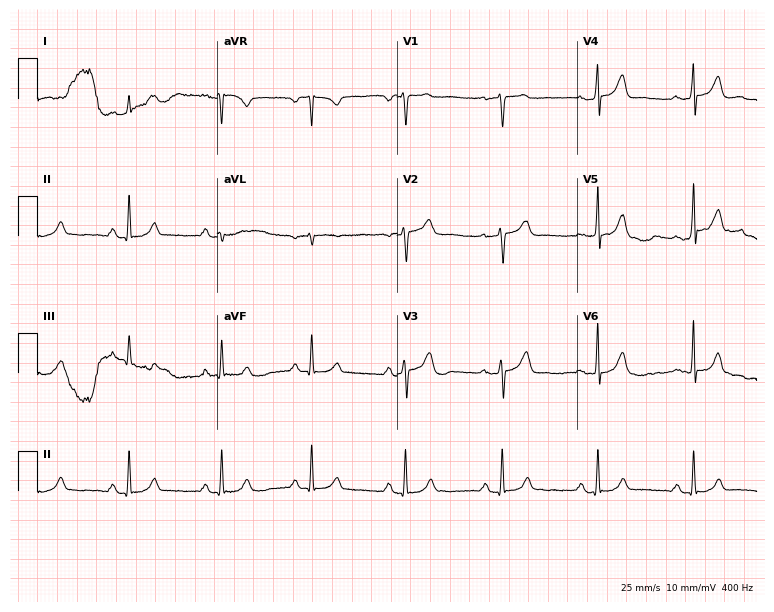
Resting 12-lead electrocardiogram. Patient: a 63-year-old man. Read as a normal ECG.